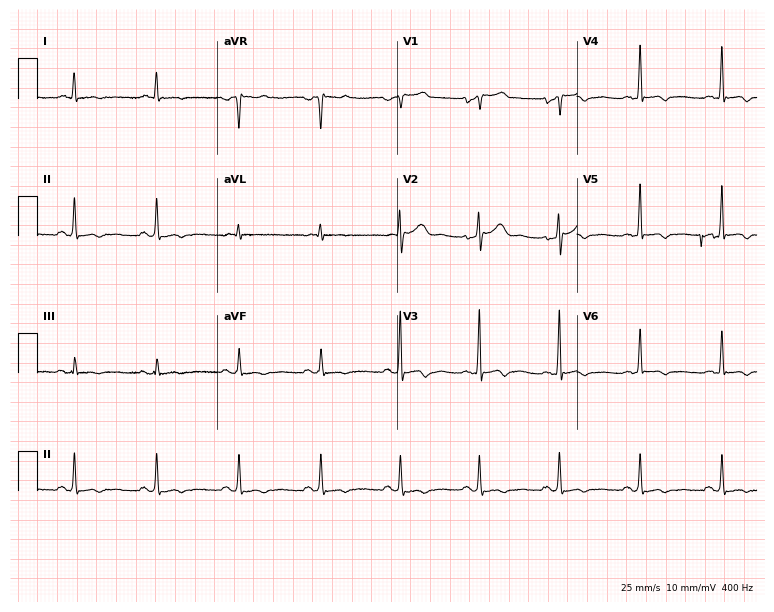
Standard 12-lead ECG recorded from a 55-year-old male patient. None of these six findings is recorded: first-degree AV block, right bundle branch block, left bundle branch block, sinus bradycardia, atrial fibrillation, sinus tachycardia. Findings outside these six are not listed.